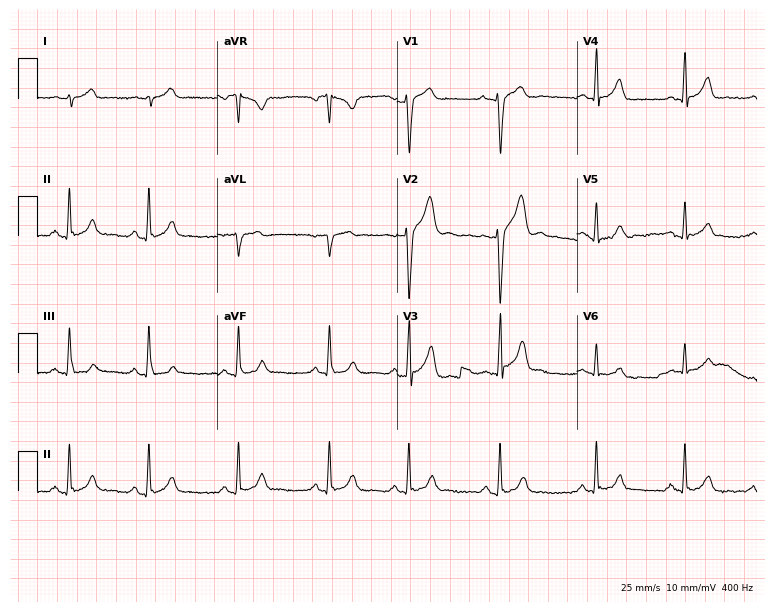
12-lead ECG (7.3-second recording at 400 Hz) from a male, 25 years old. Labelled as a normal ECG.